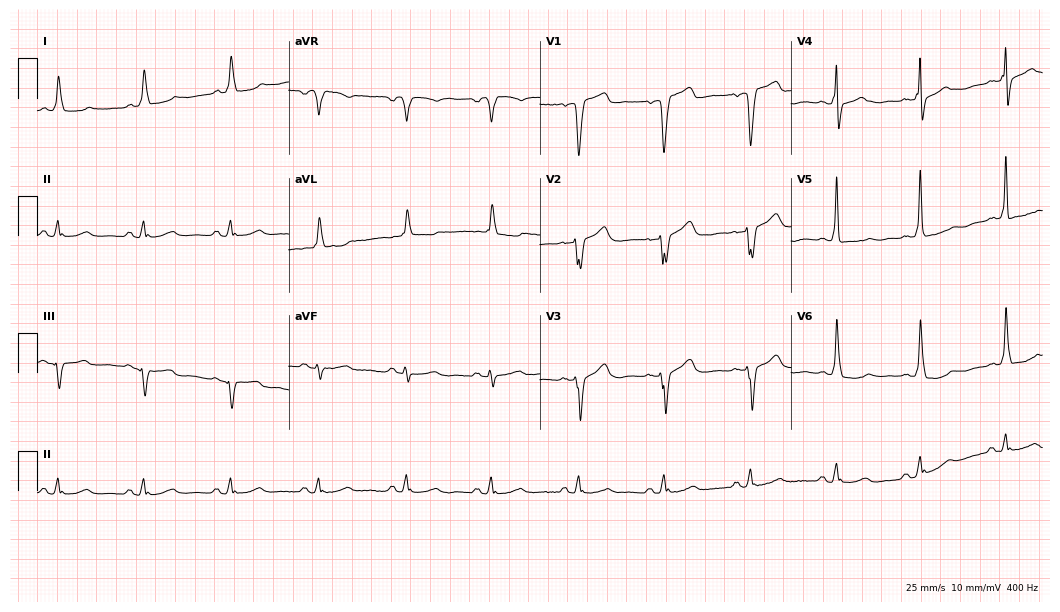
Standard 12-lead ECG recorded from an 80-year-old male patient (10.2-second recording at 400 Hz). The tracing shows left bundle branch block (LBBB).